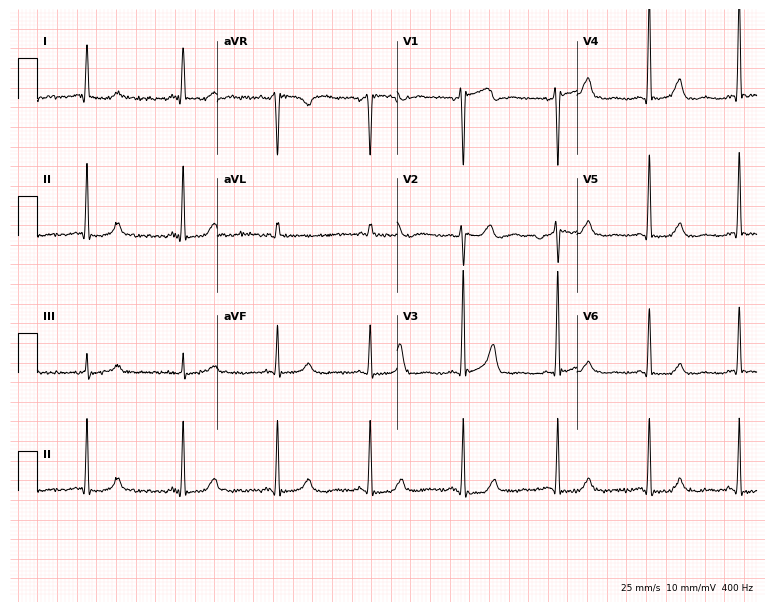
Resting 12-lead electrocardiogram (7.3-second recording at 400 Hz). Patient: a 71-year-old woman. None of these six findings is recorded: first-degree AV block, right bundle branch block (RBBB), left bundle branch block (LBBB), sinus bradycardia, atrial fibrillation (AF), sinus tachycardia. Other findings, if any, are not listed.